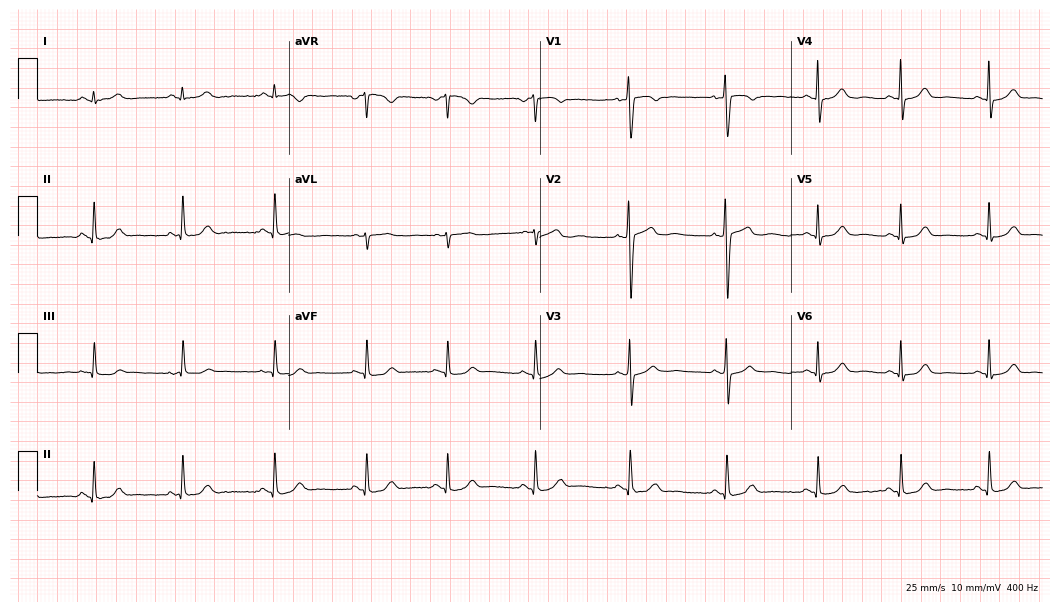
ECG (10.2-second recording at 400 Hz) — a female patient, 31 years old. Screened for six findings — first-degree AV block, right bundle branch block, left bundle branch block, sinus bradycardia, atrial fibrillation, sinus tachycardia — none is recorded.